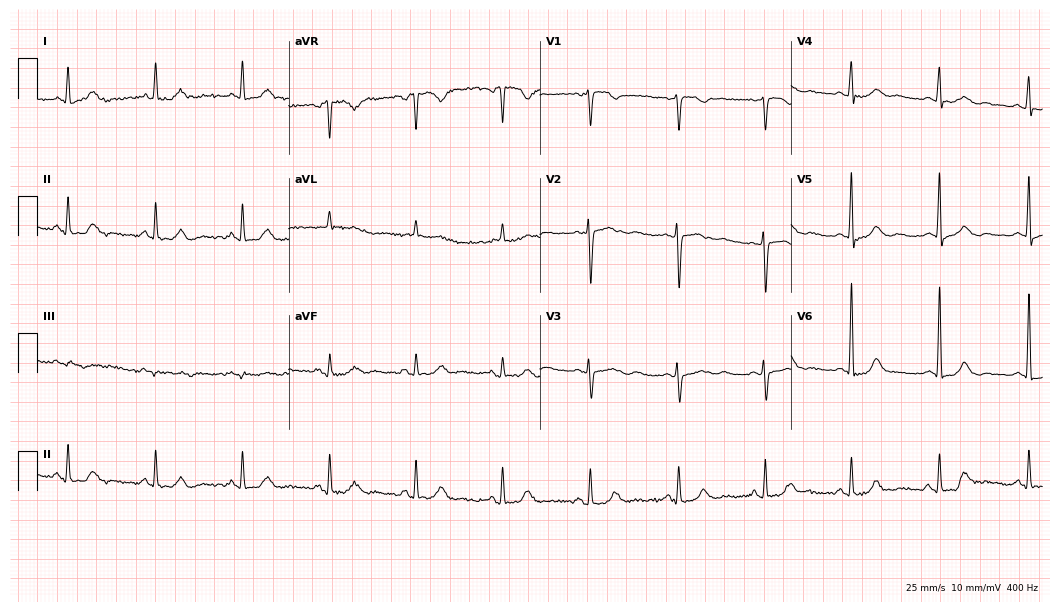
12-lead ECG from a 61-year-old female (10.2-second recording at 400 Hz). No first-degree AV block, right bundle branch block, left bundle branch block, sinus bradycardia, atrial fibrillation or sinus tachycardia recorded for this tracing.